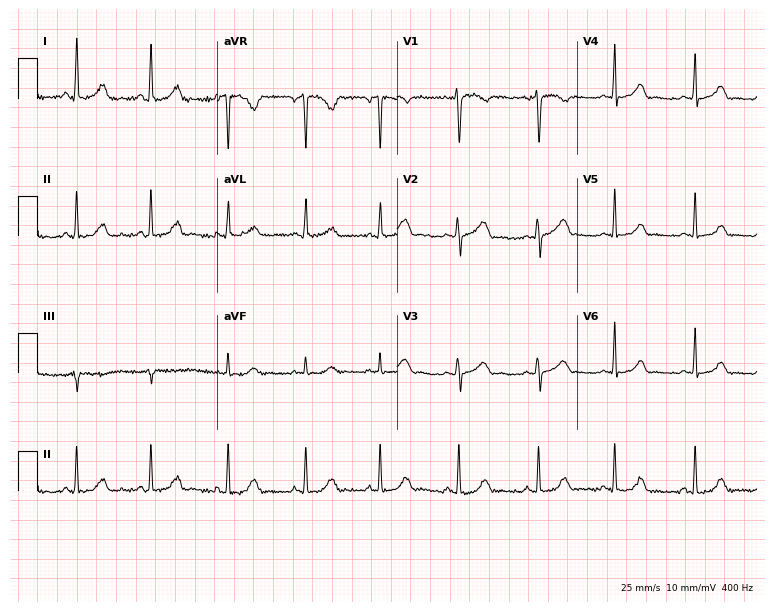
ECG (7.3-second recording at 400 Hz) — a female patient, 29 years old. Labelled as a normal ECG.